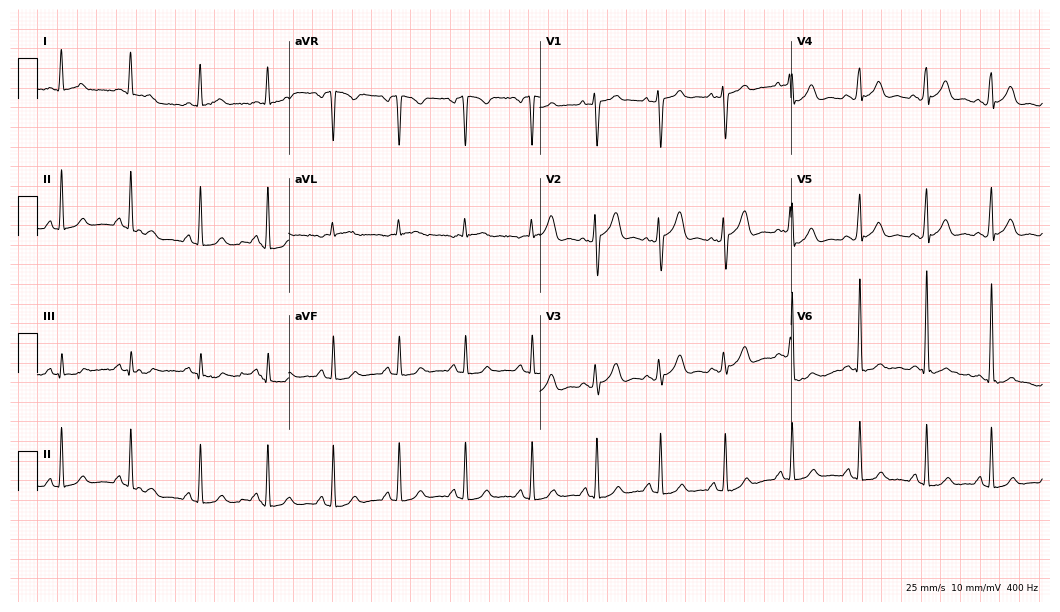
12-lead ECG from a 25-year-old male (10.2-second recording at 400 Hz). Recorded interpretation: within normal limits.